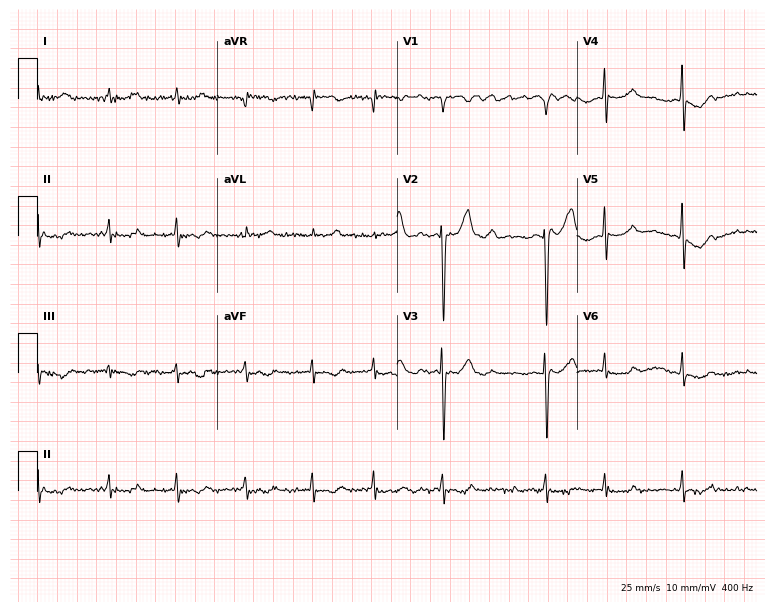
Electrocardiogram (7.3-second recording at 400 Hz), a 79-year-old female. Interpretation includes atrial fibrillation.